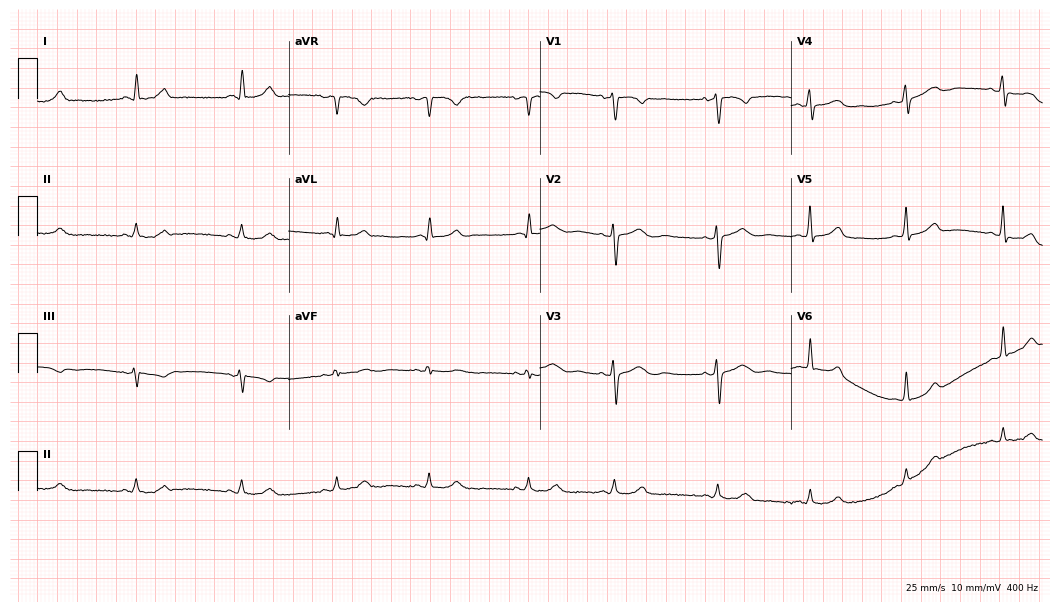
Resting 12-lead electrocardiogram (10.2-second recording at 400 Hz). Patient: a 40-year-old female. None of these six findings is recorded: first-degree AV block, right bundle branch block (RBBB), left bundle branch block (LBBB), sinus bradycardia, atrial fibrillation (AF), sinus tachycardia.